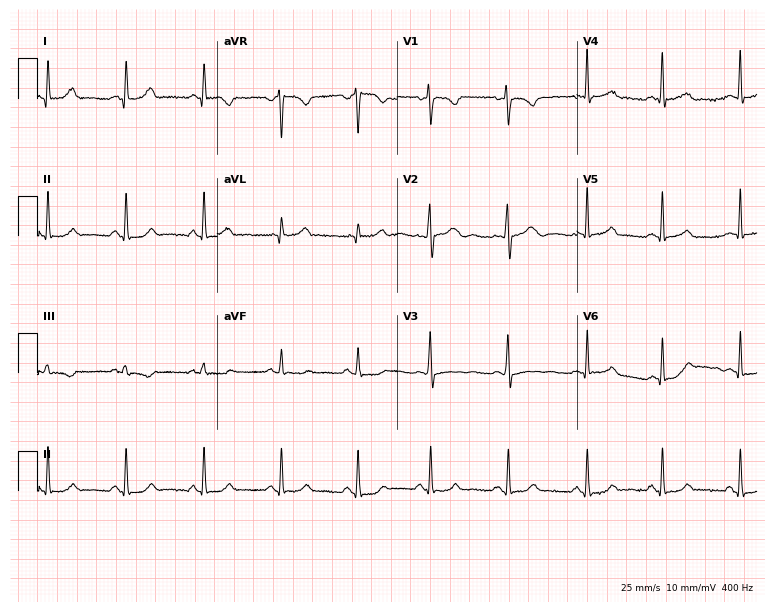
Standard 12-lead ECG recorded from a 24-year-old female patient (7.3-second recording at 400 Hz). None of these six findings is recorded: first-degree AV block, right bundle branch block (RBBB), left bundle branch block (LBBB), sinus bradycardia, atrial fibrillation (AF), sinus tachycardia.